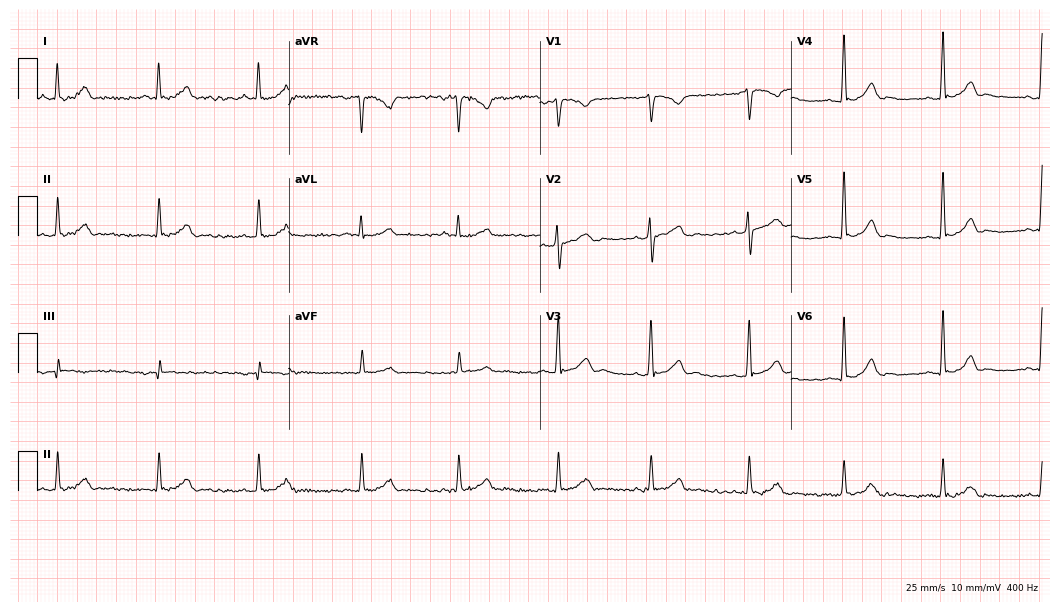
Electrocardiogram, a 34-year-old male patient. Overall reading on record: normal ECG.